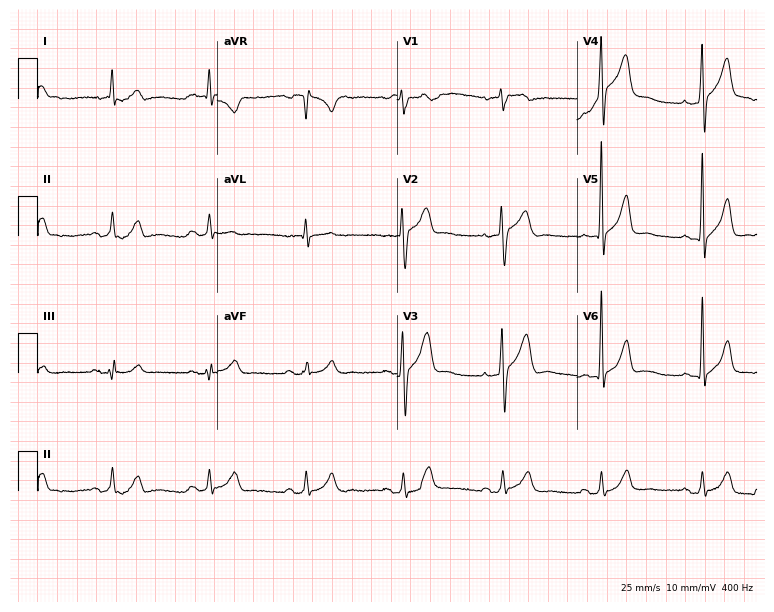
Resting 12-lead electrocardiogram. Patient: a 71-year-old male. None of these six findings is recorded: first-degree AV block, right bundle branch block (RBBB), left bundle branch block (LBBB), sinus bradycardia, atrial fibrillation (AF), sinus tachycardia. Other findings, if any, are not listed.